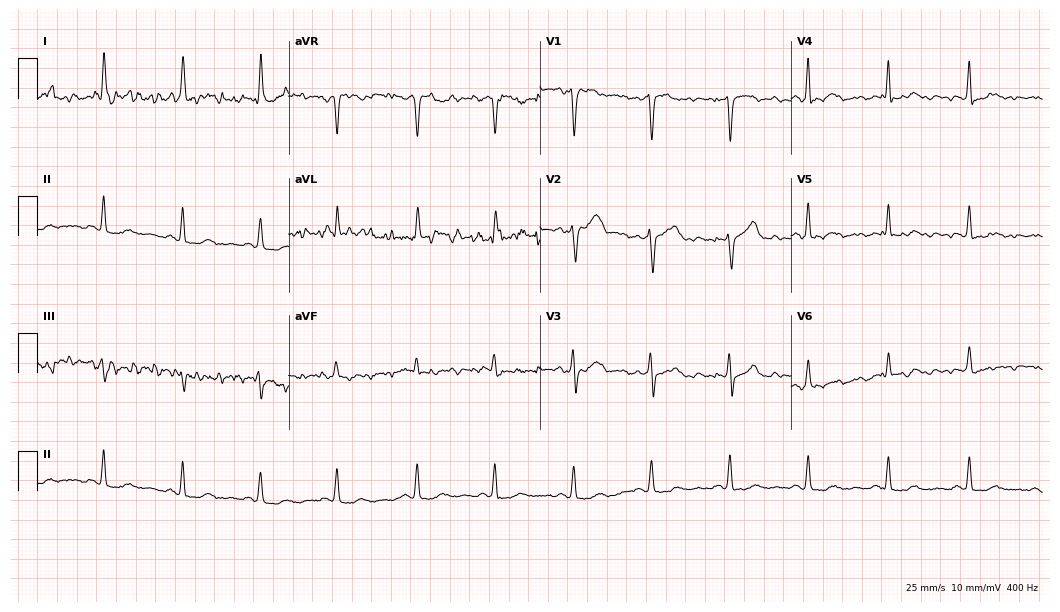
Standard 12-lead ECG recorded from a 63-year-old male (10.2-second recording at 400 Hz). None of these six findings is recorded: first-degree AV block, right bundle branch block, left bundle branch block, sinus bradycardia, atrial fibrillation, sinus tachycardia. Other findings, if any, are not listed.